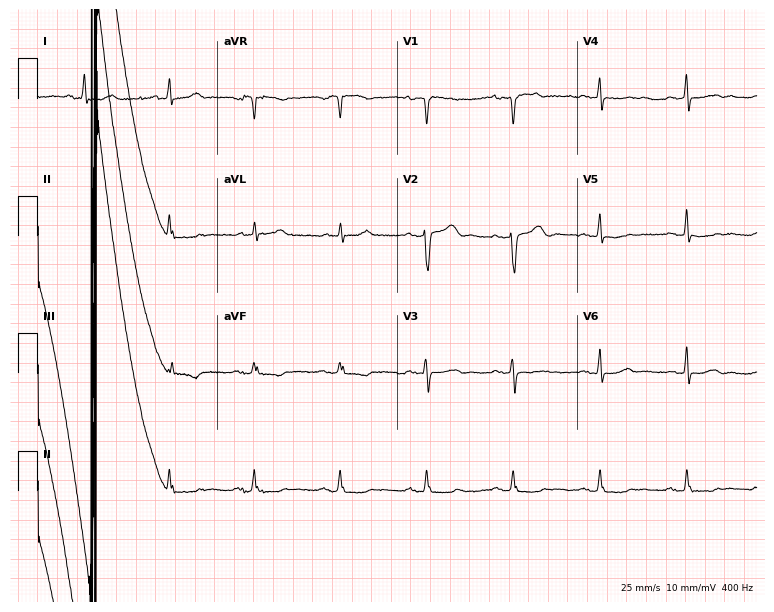
ECG (7.3-second recording at 400 Hz) — a 68-year-old male patient. Screened for six findings — first-degree AV block, right bundle branch block (RBBB), left bundle branch block (LBBB), sinus bradycardia, atrial fibrillation (AF), sinus tachycardia — none is recorded.